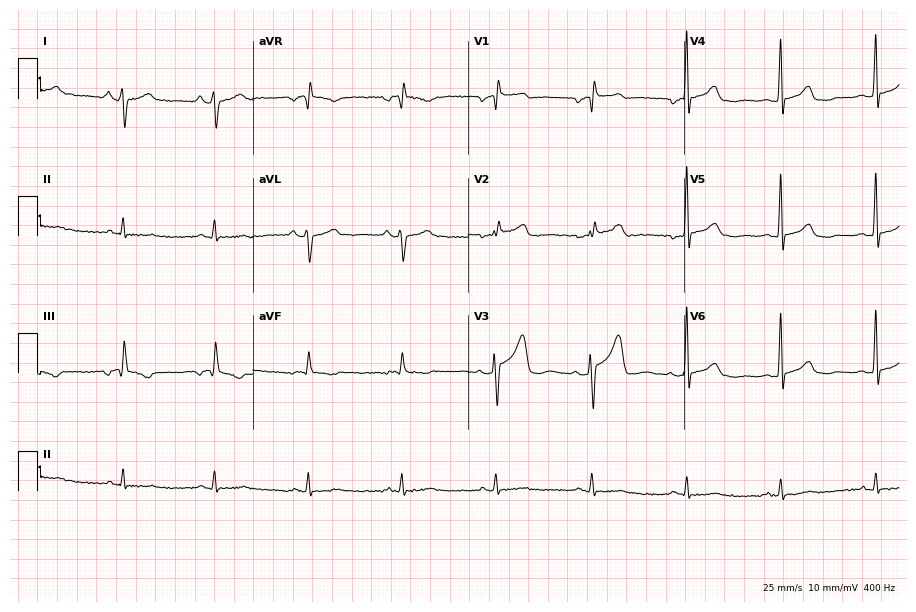
Electrocardiogram (8.8-second recording at 400 Hz), a man, 59 years old. Overall reading on record: normal ECG.